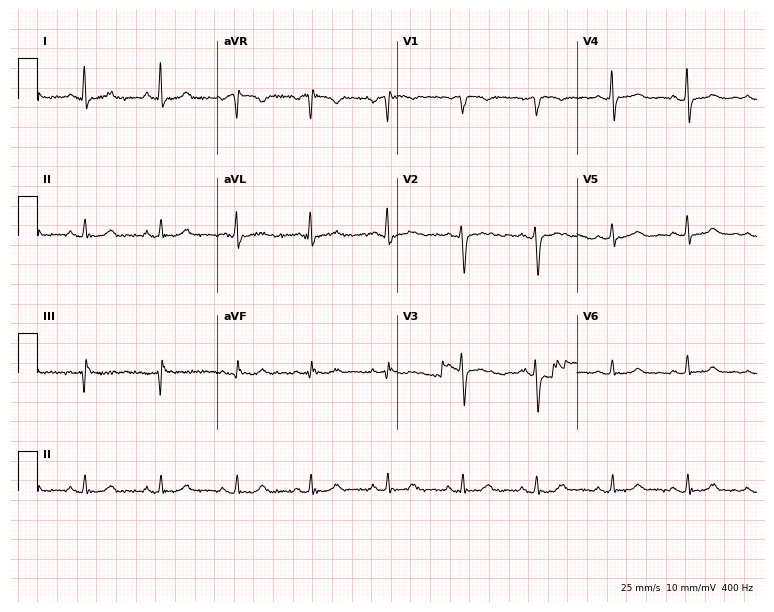
ECG (7.3-second recording at 400 Hz) — a female, 43 years old. Labelled as a normal ECG.